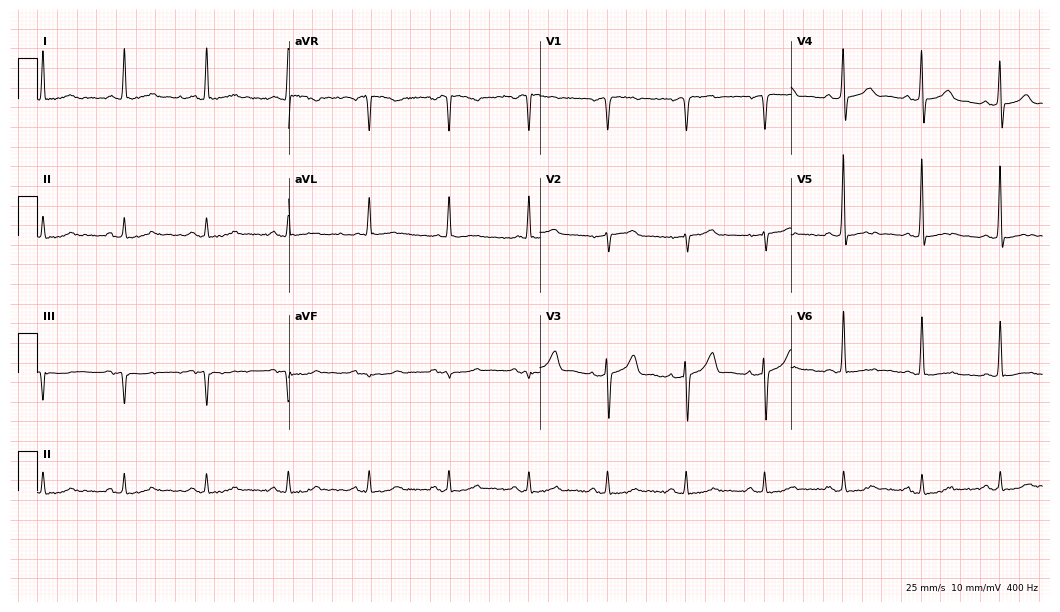
Standard 12-lead ECG recorded from a male patient, 59 years old. None of these six findings is recorded: first-degree AV block, right bundle branch block, left bundle branch block, sinus bradycardia, atrial fibrillation, sinus tachycardia.